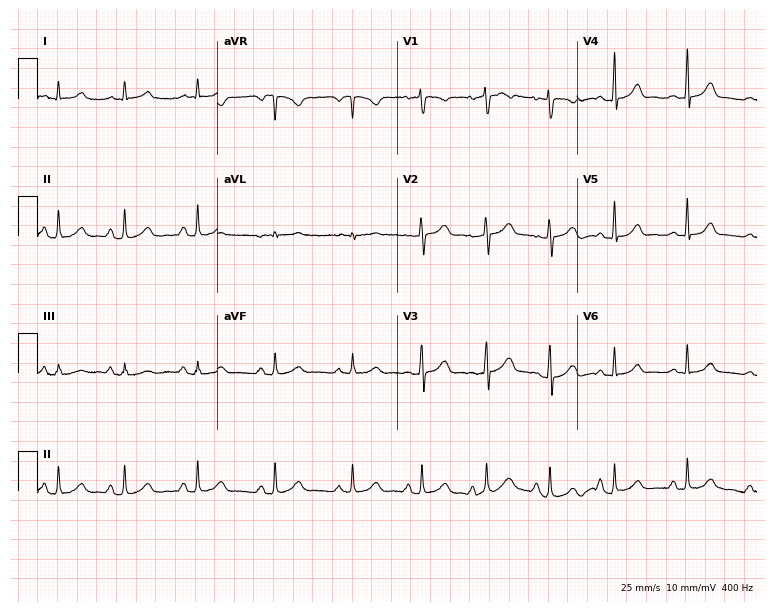
Electrocardiogram, a female patient, 22 years old. Overall reading on record: normal ECG.